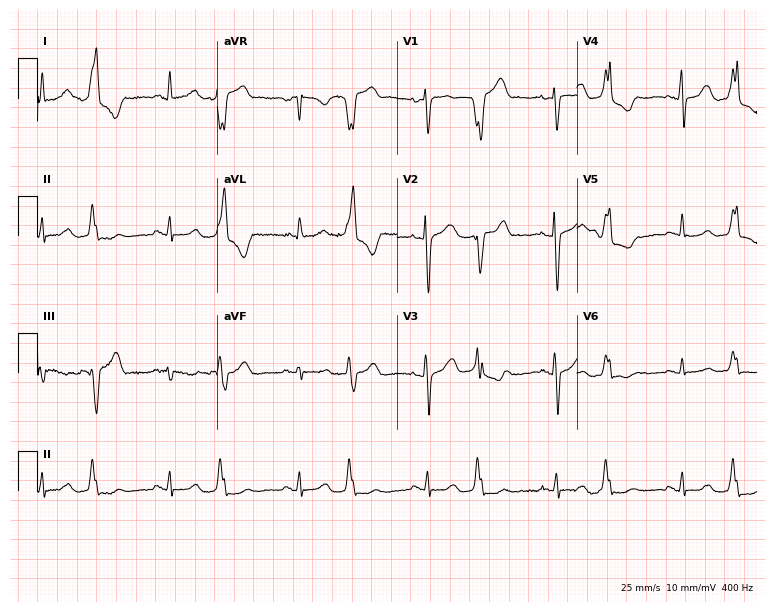
Resting 12-lead electrocardiogram. Patient: a female, 58 years old. None of these six findings is recorded: first-degree AV block, right bundle branch block, left bundle branch block, sinus bradycardia, atrial fibrillation, sinus tachycardia. Findings outside these six are not listed.